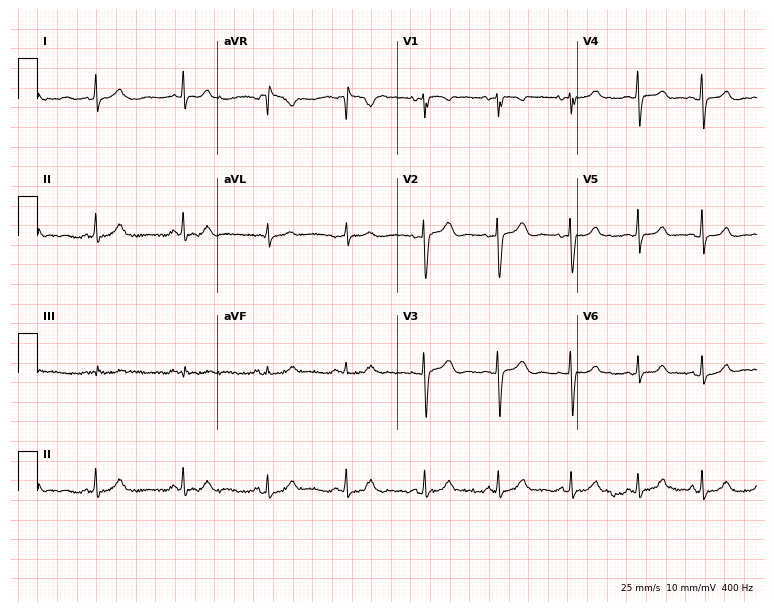
Electrocardiogram, a 25-year-old female patient. Overall reading on record: normal ECG.